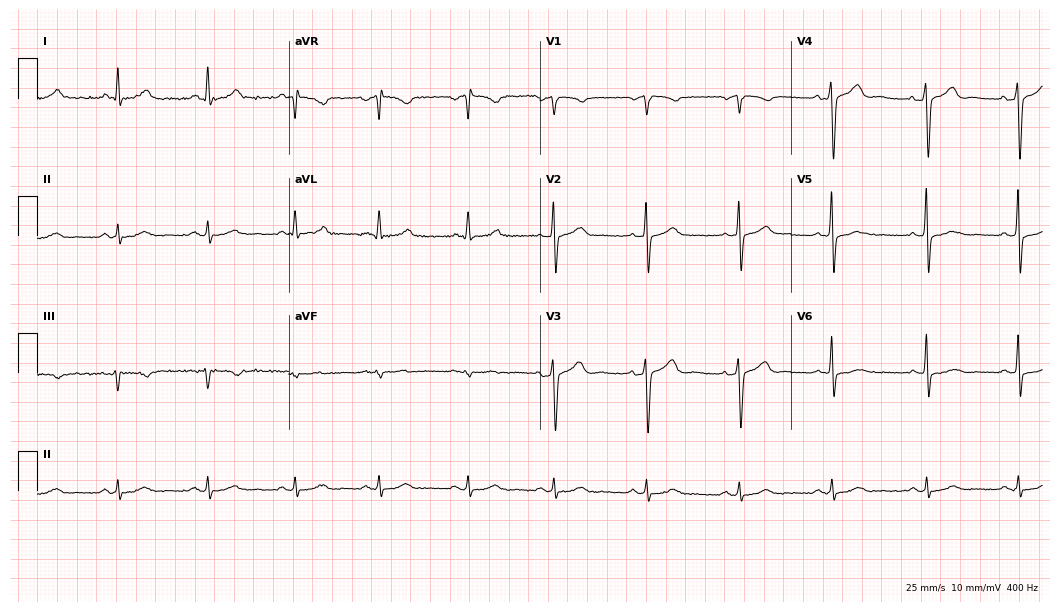
Electrocardiogram, a 36-year-old female patient. Overall reading on record: normal ECG.